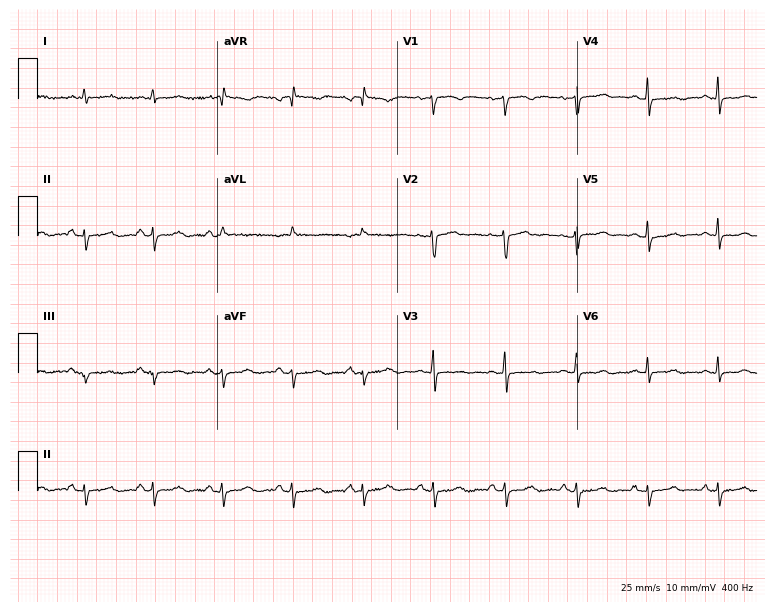
Electrocardiogram, a female, 61 years old. Of the six screened findings (first-degree AV block, right bundle branch block, left bundle branch block, sinus bradycardia, atrial fibrillation, sinus tachycardia), none is recorded. Other findings, if any, are not listed.